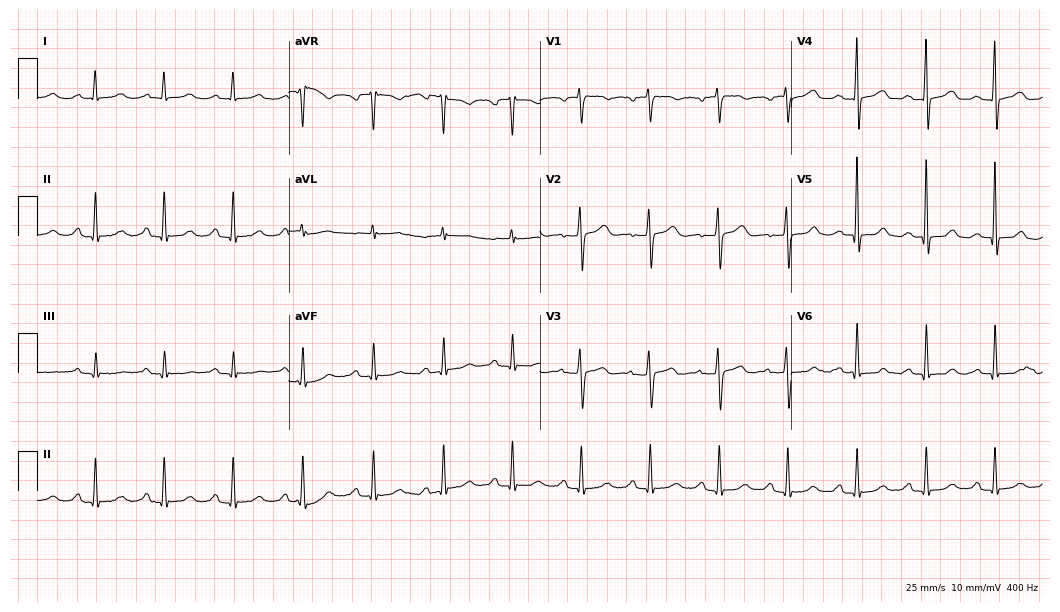
ECG (10.2-second recording at 400 Hz) — a woman, 47 years old. Screened for six findings — first-degree AV block, right bundle branch block, left bundle branch block, sinus bradycardia, atrial fibrillation, sinus tachycardia — none is recorded.